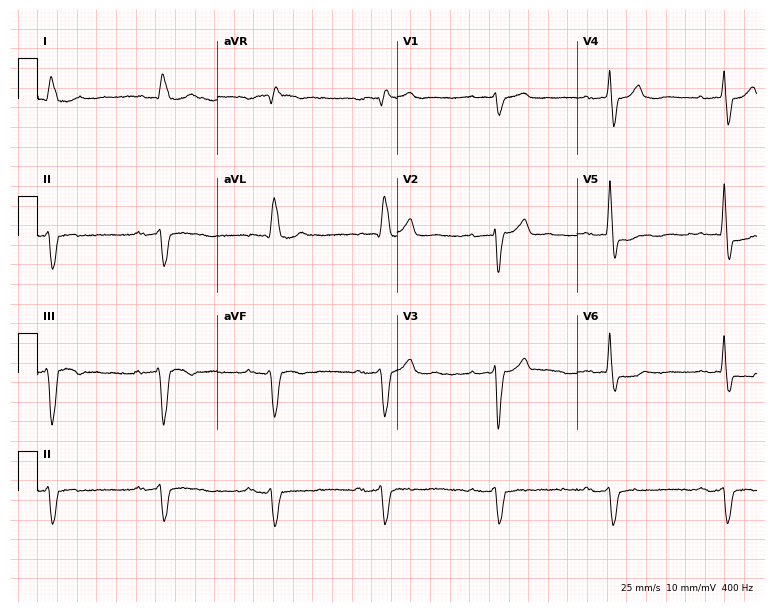
12-lead ECG from a 79-year-old male (7.3-second recording at 400 Hz). Shows first-degree AV block, left bundle branch block.